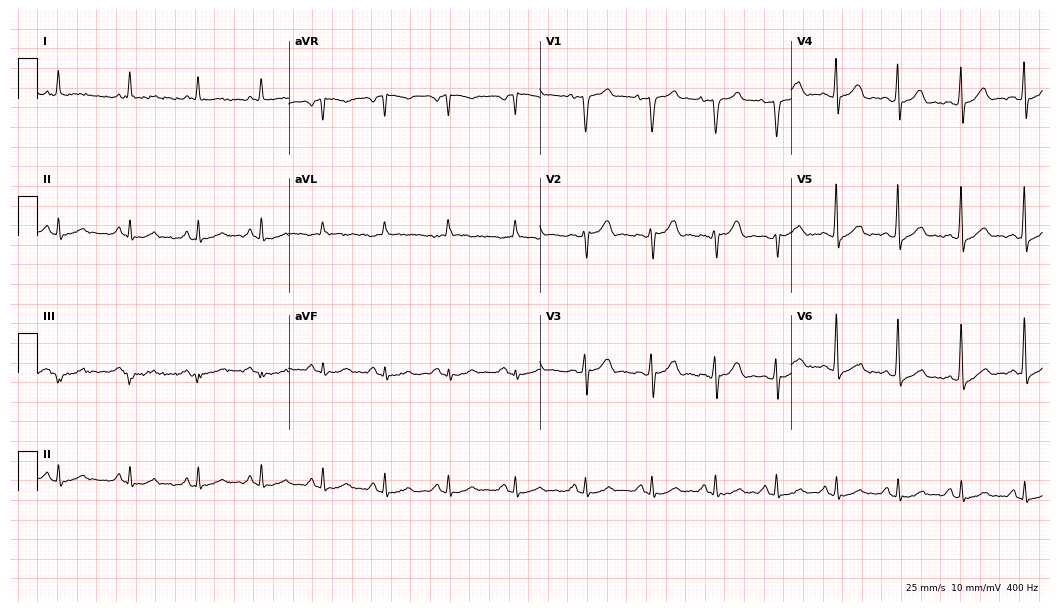
Resting 12-lead electrocardiogram. Patient: a 67-year-old man. None of these six findings is recorded: first-degree AV block, right bundle branch block (RBBB), left bundle branch block (LBBB), sinus bradycardia, atrial fibrillation (AF), sinus tachycardia. Findings outside these six are not listed.